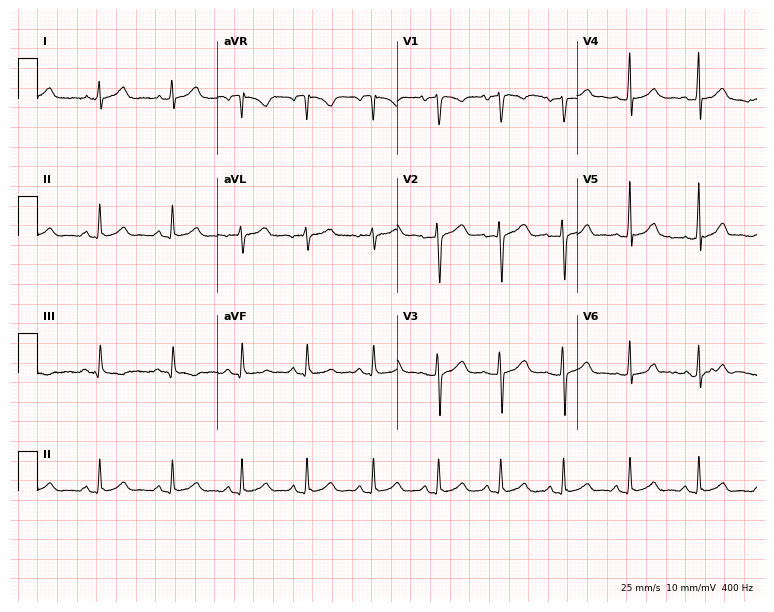
Resting 12-lead electrocardiogram (7.3-second recording at 400 Hz). Patient: a woman, 24 years old. Read as a normal ECG.